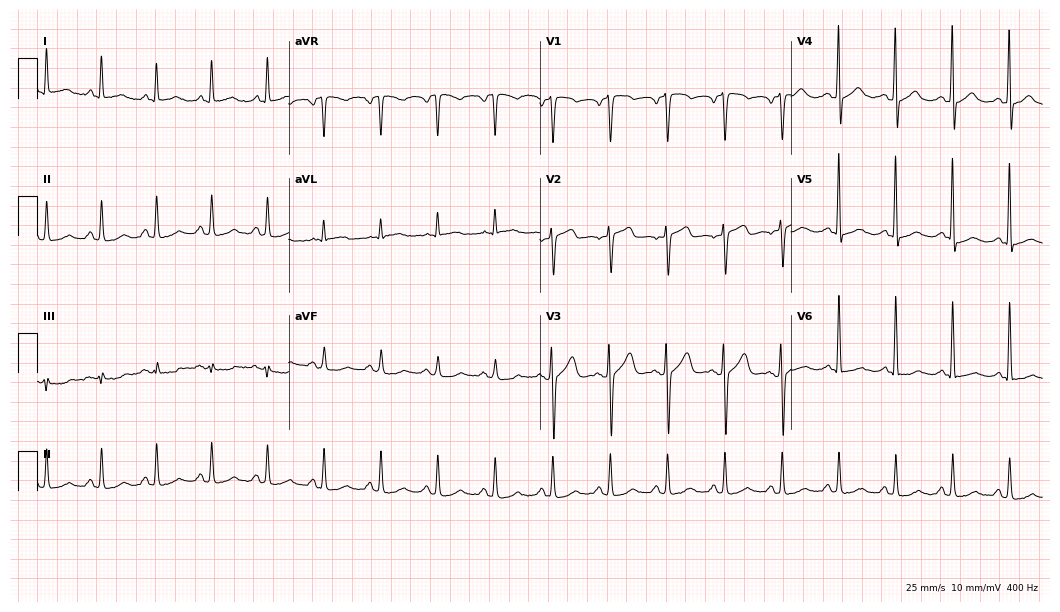
12-lead ECG from a 45-year-old man. Findings include sinus tachycardia (a sinus rate of 100 beats per minute or more).